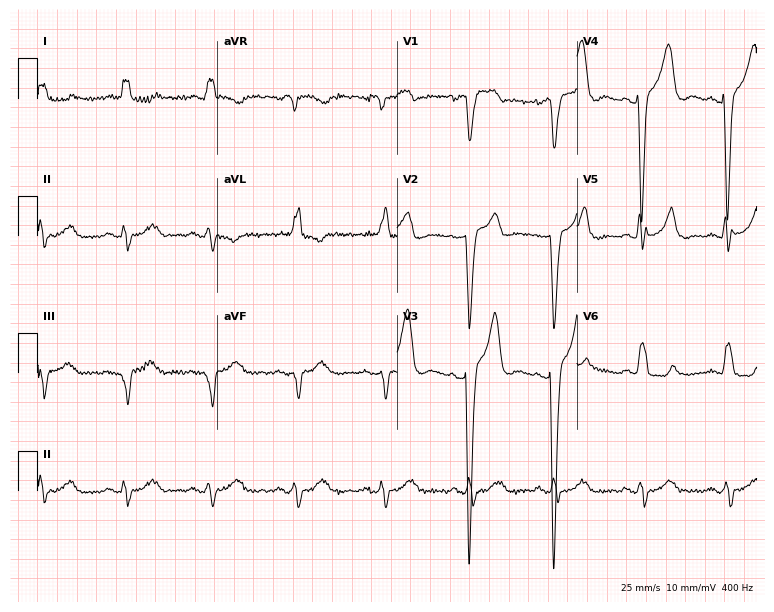
12-lead ECG from a 75-year-old female patient. Findings include left bundle branch block (LBBB).